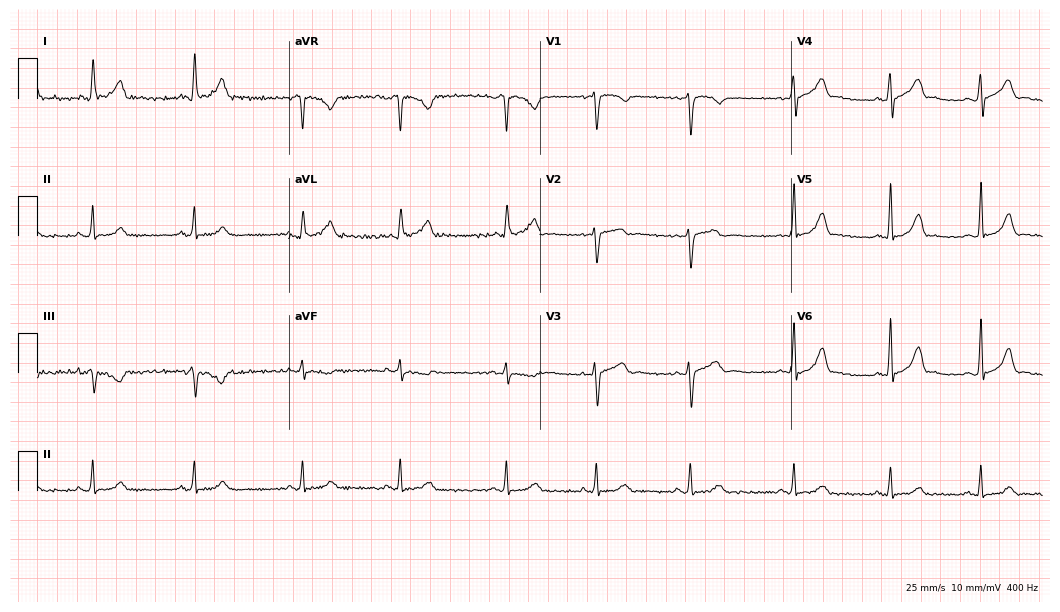
Electrocardiogram, a 31-year-old woman. Overall reading on record: normal ECG.